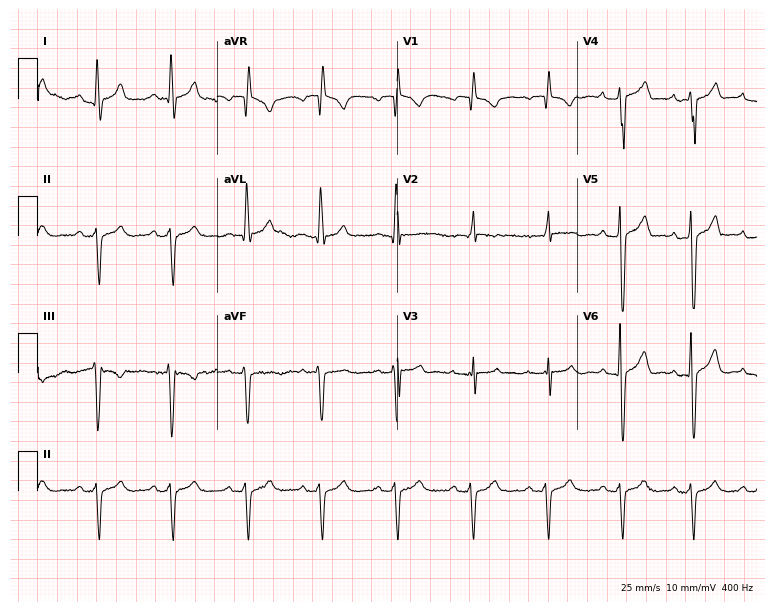
12-lead ECG (7.3-second recording at 400 Hz) from a male patient, 32 years old. Screened for six findings — first-degree AV block, right bundle branch block, left bundle branch block, sinus bradycardia, atrial fibrillation, sinus tachycardia — none is recorded.